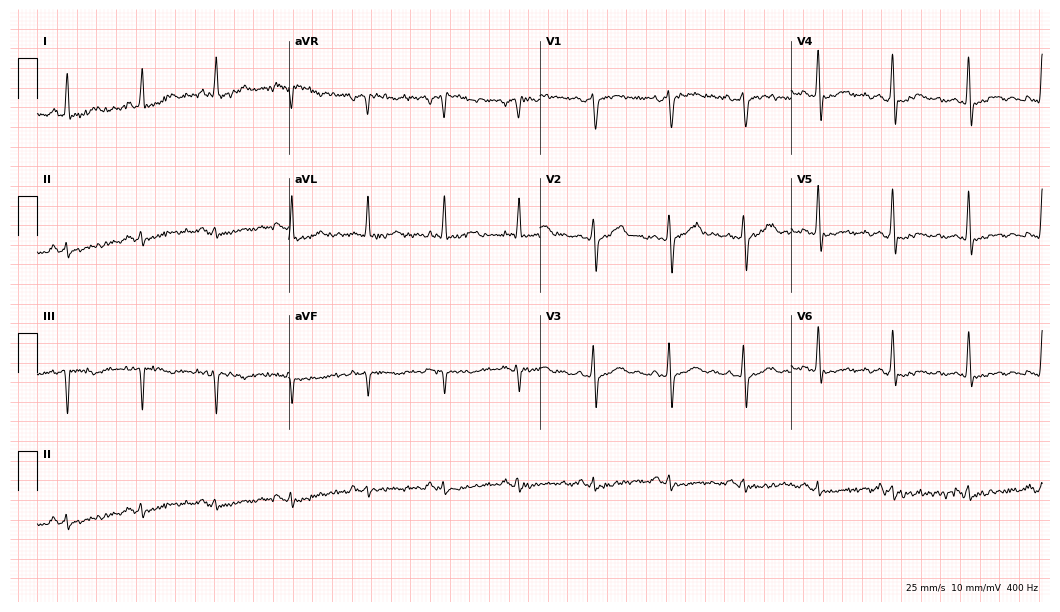
Resting 12-lead electrocardiogram (10.2-second recording at 400 Hz). Patient: a 54-year-old man. None of these six findings is recorded: first-degree AV block, right bundle branch block (RBBB), left bundle branch block (LBBB), sinus bradycardia, atrial fibrillation (AF), sinus tachycardia.